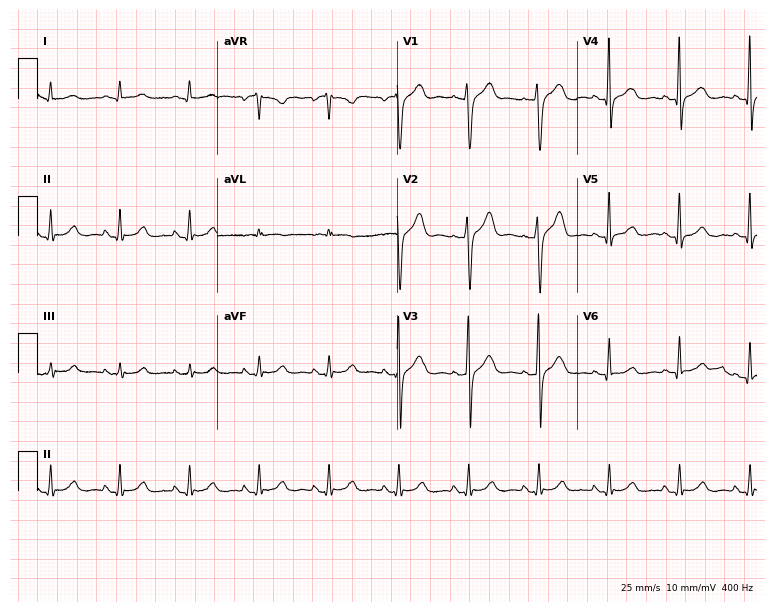
Standard 12-lead ECG recorded from a 50-year-old male (7.3-second recording at 400 Hz). Read as a normal ECG.